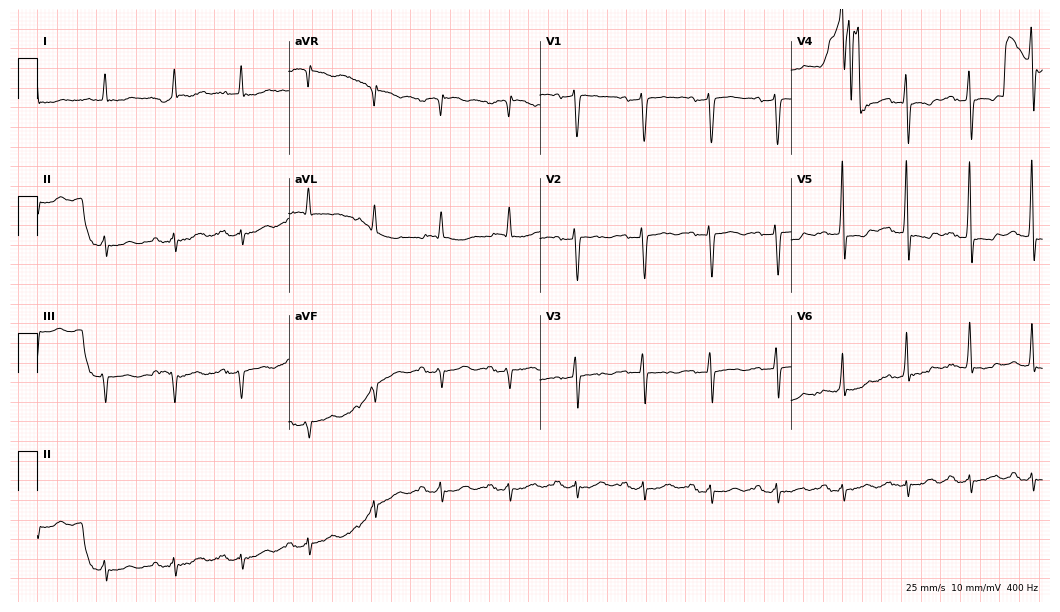
Electrocardiogram, a male, 78 years old. Of the six screened findings (first-degree AV block, right bundle branch block, left bundle branch block, sinus bradycardia, atrial fibrillation, sinus tachycardia), none is recorded. Only these six findings were labelled.